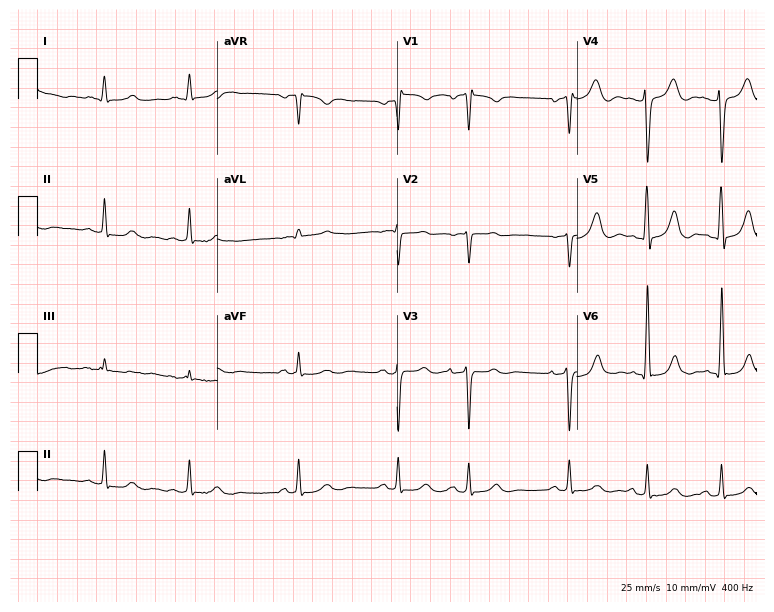
12-lead ECG from a female, 61 years old. No first-degree AV block, right bundle branch block (RBBB), left bundle branch block (LBBB), sinus bradycardia, atrial fibrillation (AF) or sinus tachycardia recorded for this tracing.